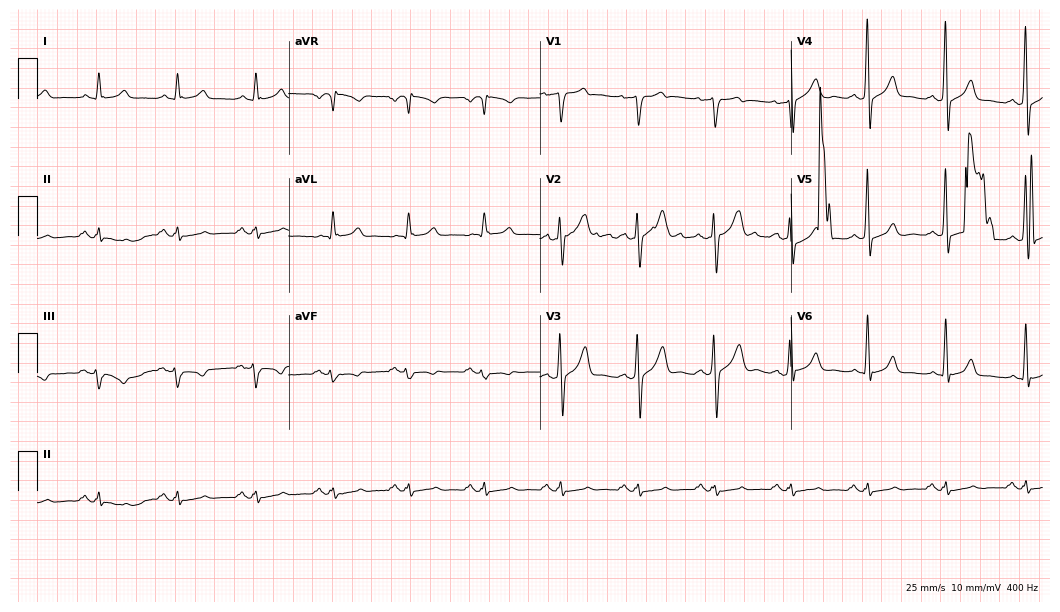
12-lead ECG (10.2-second recording at 400 Hz) from a 57-year-old man. Screened for six findings — first-degree AV block, right bundle branch block, left bundle branch block, sinus bradycardia, atrial fibrillation, sinus tachycardia — none is recorded. Only these six findings were labelled.